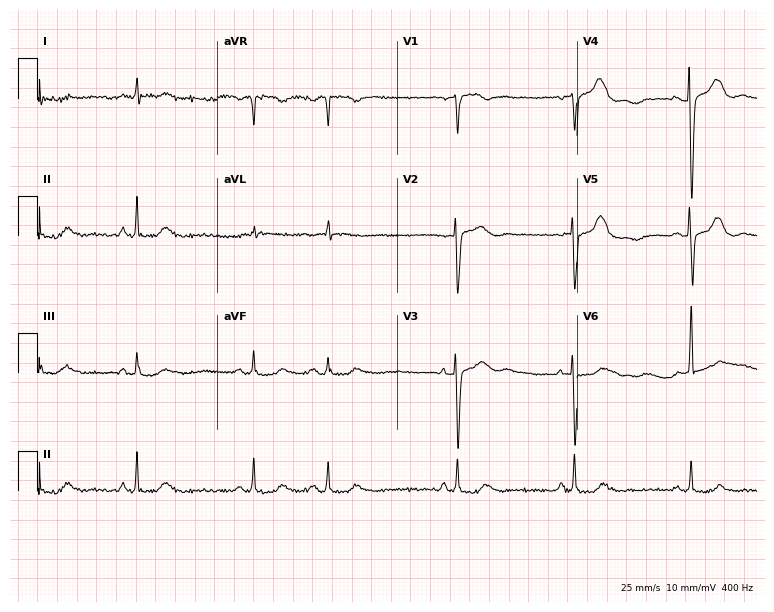
Standard 12-lead ECG recorded from an 84-year-old male patient (7.3-second recording at 400 Hz). None of these six findings is recorded: first-degree AV block, right bundle branch block, left bundle branch block, sinus bradycardia, atrial fibrillation, sinus tachycardia.